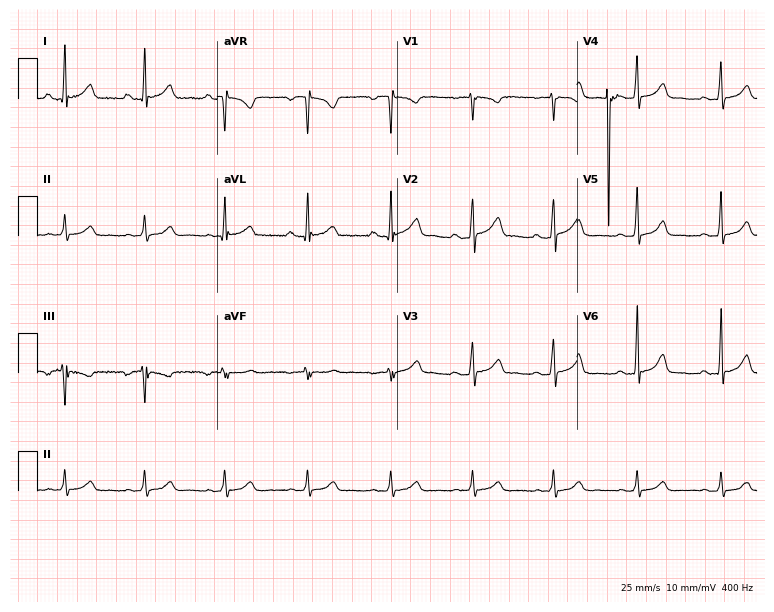
12-lead ECG (7.3-second recording at 400 Hz) from a female patient, 39 years old. Labelled as a normal ECG.